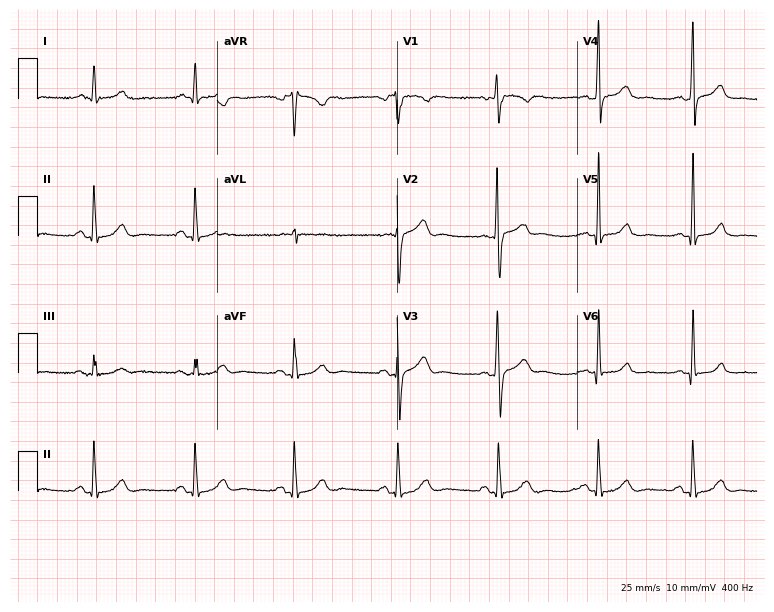
Standard 12-lead ECG recorded from a 41-year-old male (7.3-second recording at 400 Hz). None of these six findings is recorded: first-degree AV block, right bundle branch block (RBBB), left bundle branch block (LBBB), sinus bradycardia, atrial fibrillation (AF), sinus tachycardia. Only these six findings were labelled.